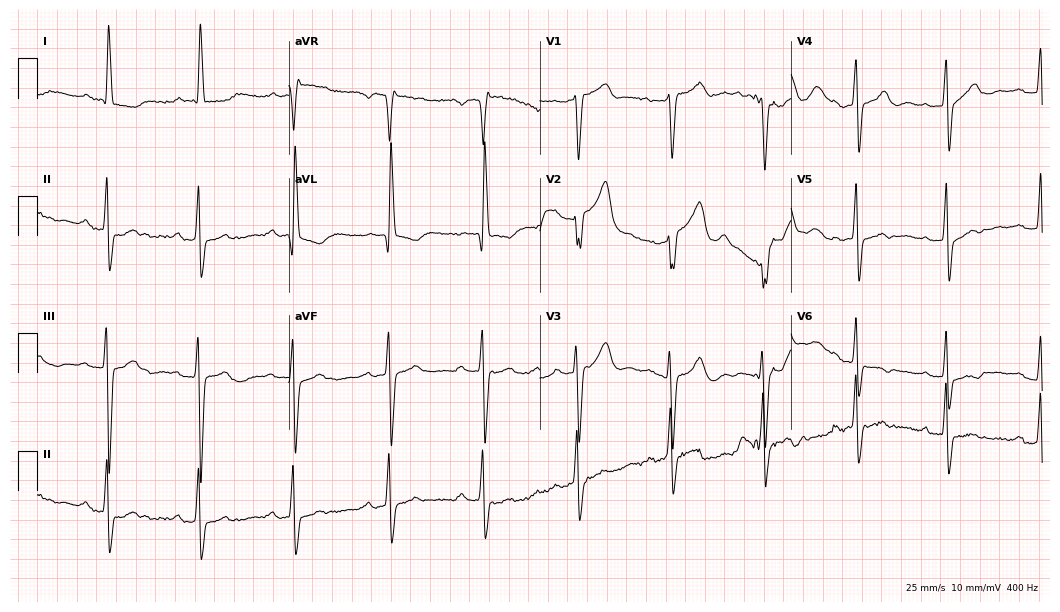
ECG (10.2-second recording at 400 Hz) — a female patient, 77 years old. Findings include first-degree AV block.